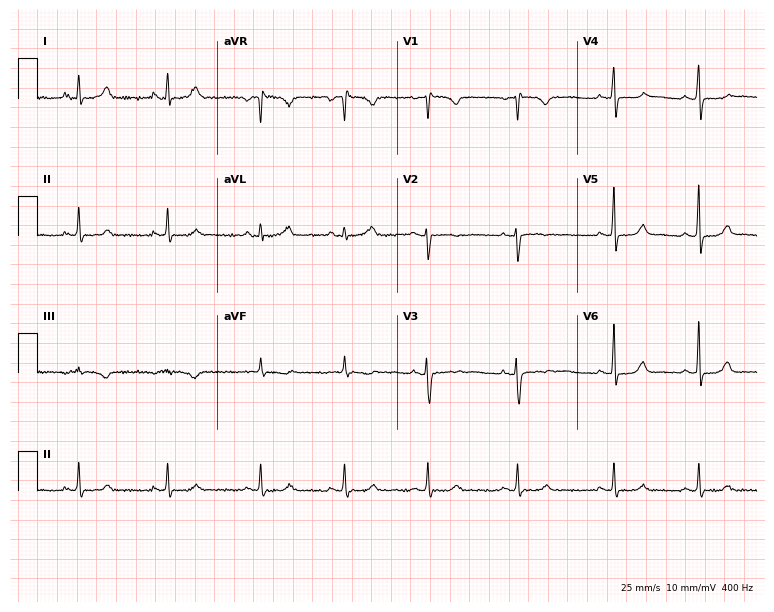
Resting 12-lead electrocardiogram (7.3-second recording at 400 Hz). Patient: a female, 26 years old. None of these six findings is recorded: first-degree AV block, right bundle branch block, left bundle branch block, sinus bradycardia, atrial fibrillation, sinus tachycardia. Other findings, if any, are not listed.